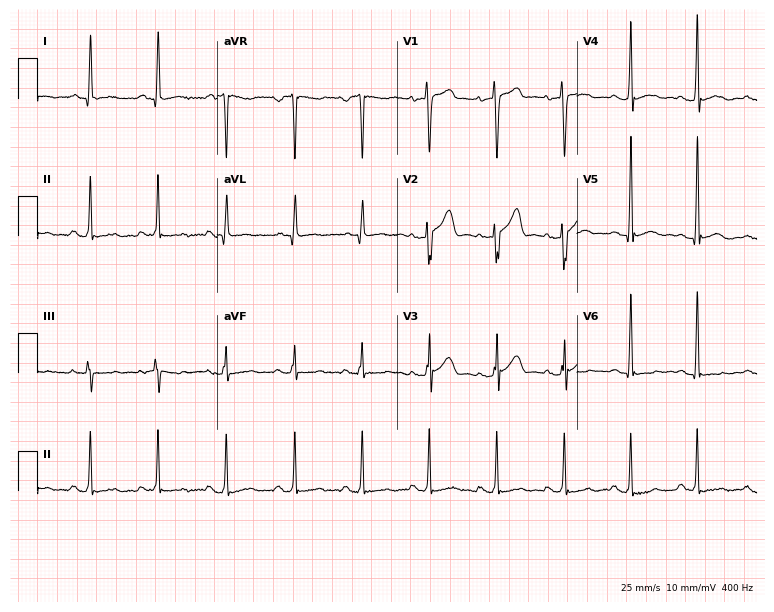
Electrocardiogram, a male, 47 years old. Of the six screened findings (first-degree AV block, right bundle branch block, left bundle branch block, sinus bradycardia, atrial fibrillation, sinus tachycardia), none is recorded.